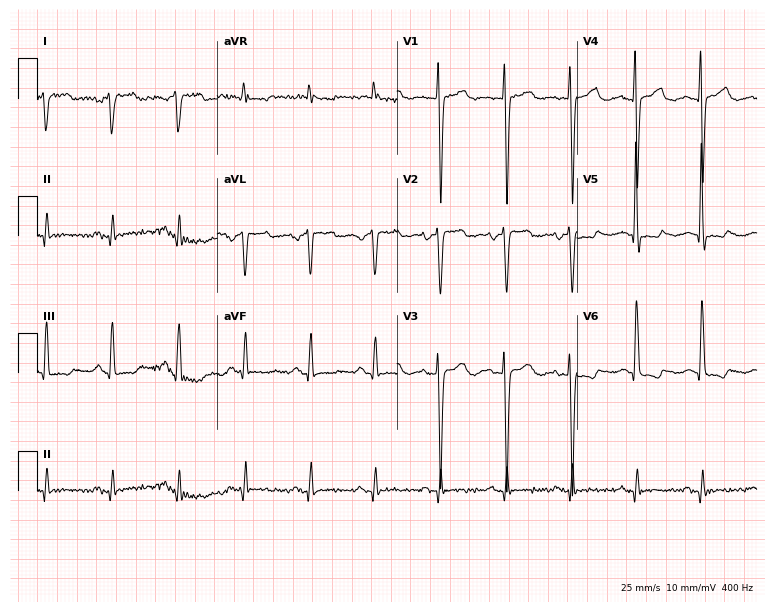
Electrocardiogram (7.3-second recording at 400 Hz), an 81-year-old female patient. Of the six screened findings (first-degree AV block, right bundle branch block, left bundle branch block, sinus bradycardia, atrial fibrillation, sinus tachycardia), none is recorded. Findings outside these six are not listed.